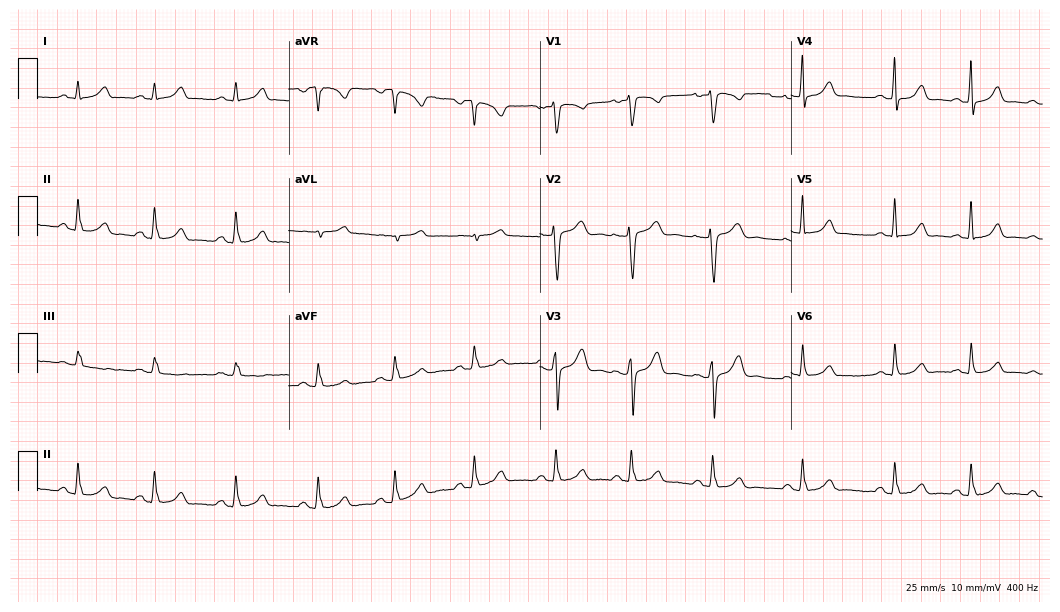
Standard 12-lead ECG recorded from a 28-year-old female patient (10.2-second recording at 400 Hz). Read as a normal ECG.